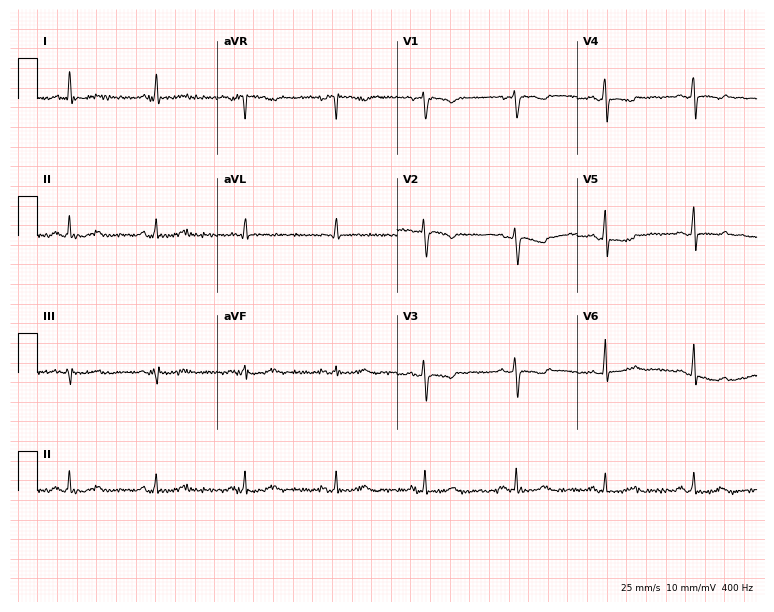
Resting 12-lead electrocardiogram. Patient: a 59-year-old female. Read as a normal ECG.